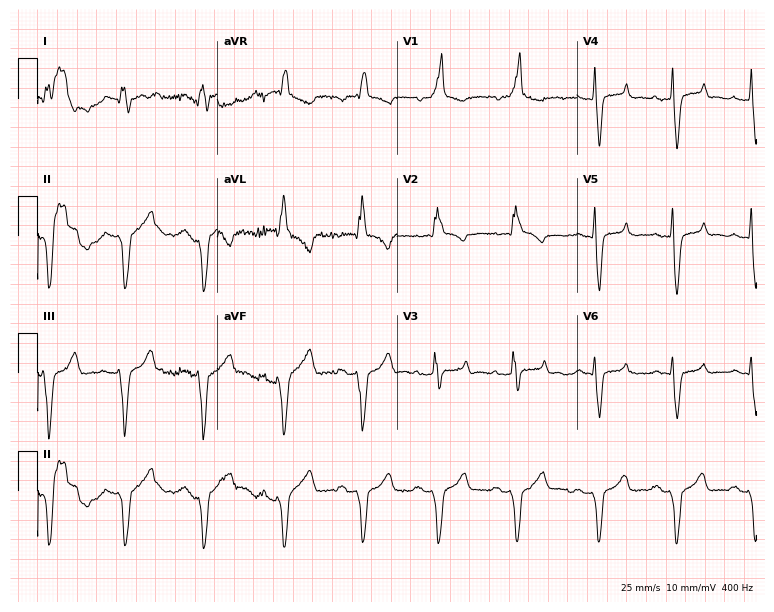
Resting 12-lead electrocardiogram. Patient: a male, 60 years old. The tracing shows right bundle branch block.